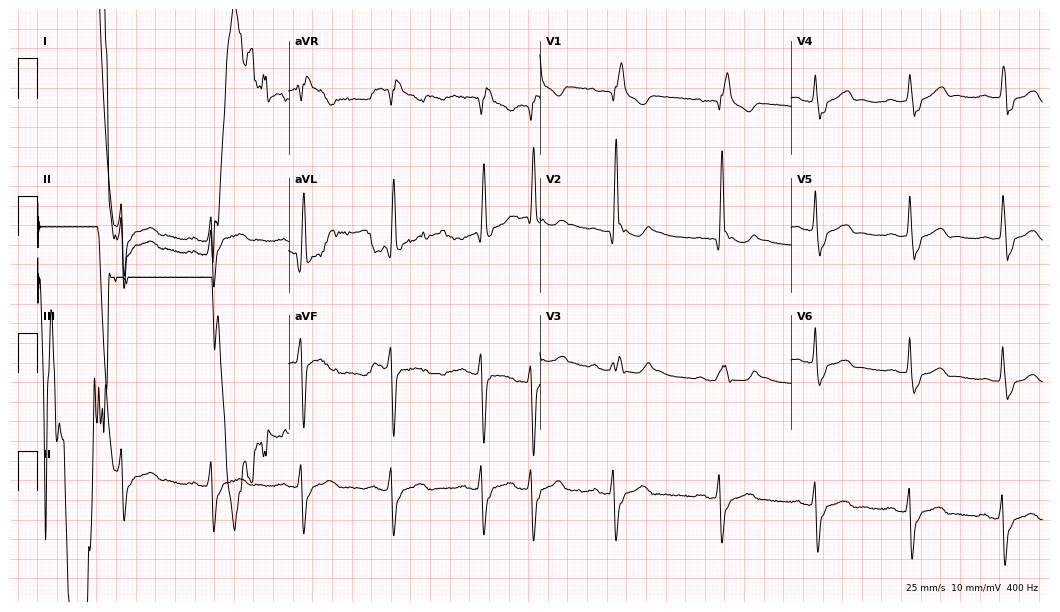
12-lead ECG from an 83-year-old man (10.2-second recording at 400 Hz). Shows right bundle branch block.